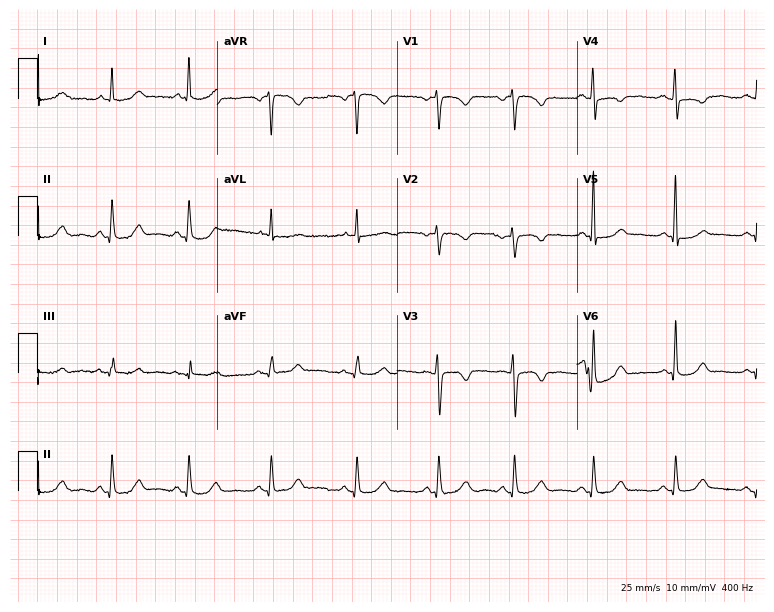
Electrocardiogram (7.3-second recording at 400 Hz), a 49-year-old female patient. Overall reading on record: normal ECG.